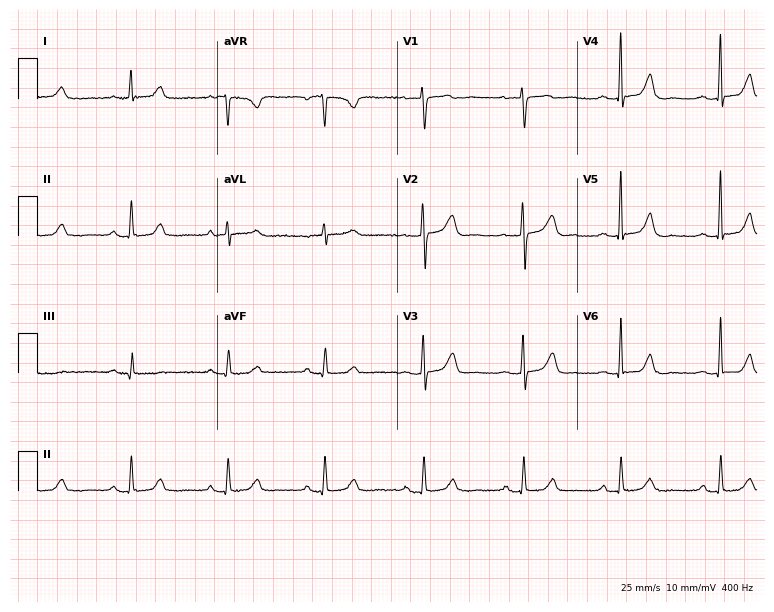
ECG — a female, 63 years old. Labelled as a normal ECG.